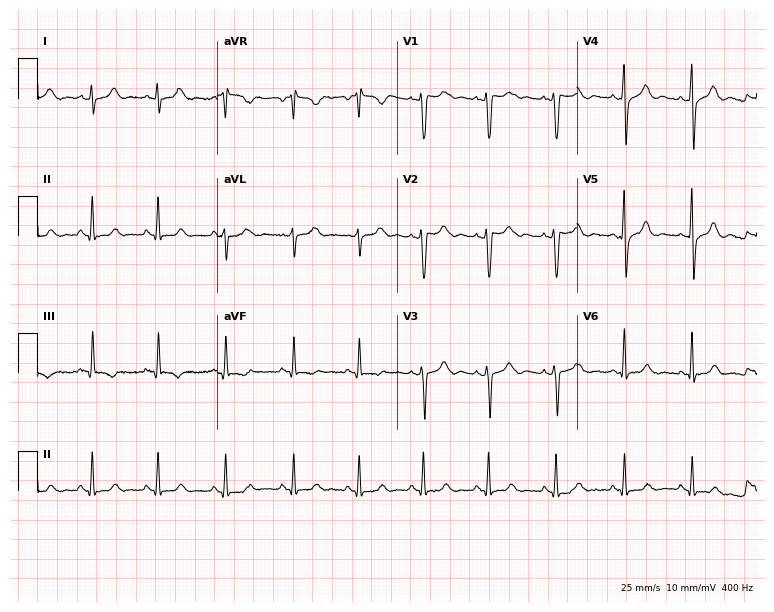
ECG — a woman, 33 years old. Screened for six findings — first-degree AV block, right bundle branch block, left bundle branch block, sinus bradycardia, atrial fibrillation, sinus tachycardia — none is recorded. Other findings, if any, are not listed.